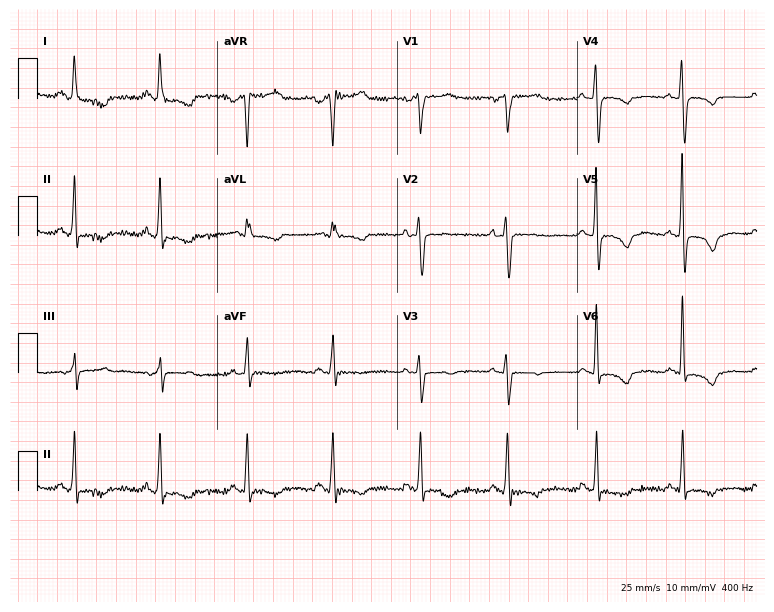
12-lead ECG from a female patient, 51 years old. Screened for six findings — first-degree AV block, right bundle branch block, left bundle branch block, sinus bradycardia, atrial fibrillation, sinus tachycardia — none is recorded.